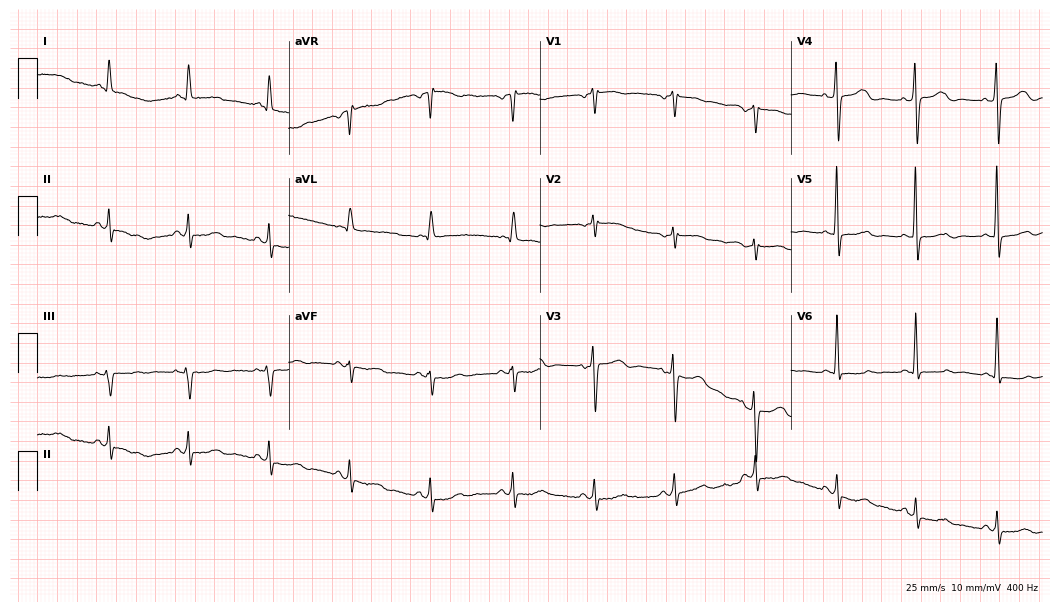
Standard 12-lead ECG recorded from a 74-year-old woman (10.2-second recording at 400 Hz). None of these six findings is recorded: first-degree AV block, right bundle branch block, left bundle branch block, sinus bradycardia, atrial fibrillation, sinus tachycardia. Other findings, if any, are not listed.